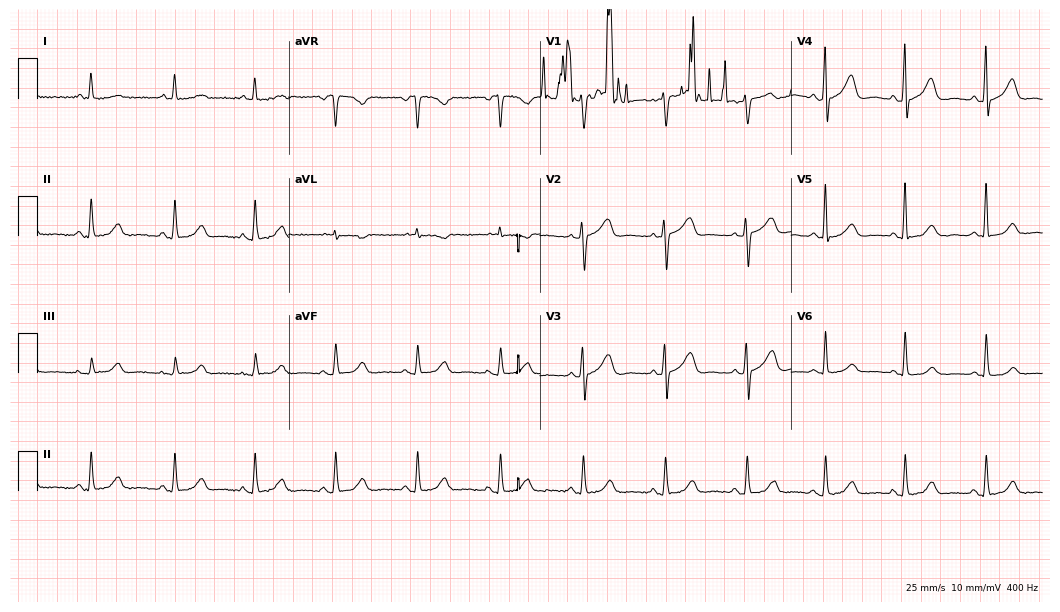
ECG — a 70-year-old woman. Screened for six findings — first-degree AV block, right bundle branch block, left bundle branch block, sinus bradycardia, atrial fibrillation, sinus tachycardia — none is recorded.